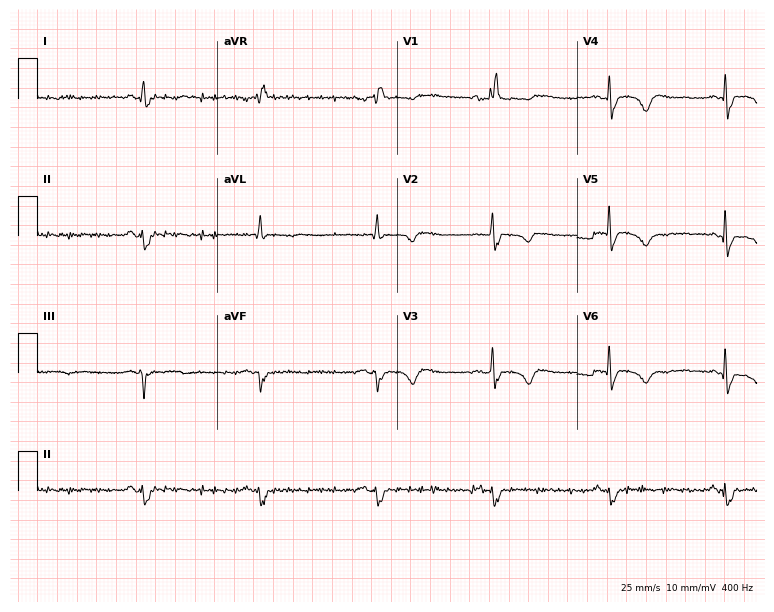
Resting 12-lead electrocardiogram (7.3-second recording at 400 Hz). Patient: a woman, 79 years old. The tracing shows right bundle branch block, sinus bradycardia (a sinus rate of 50 beats per minute or less).